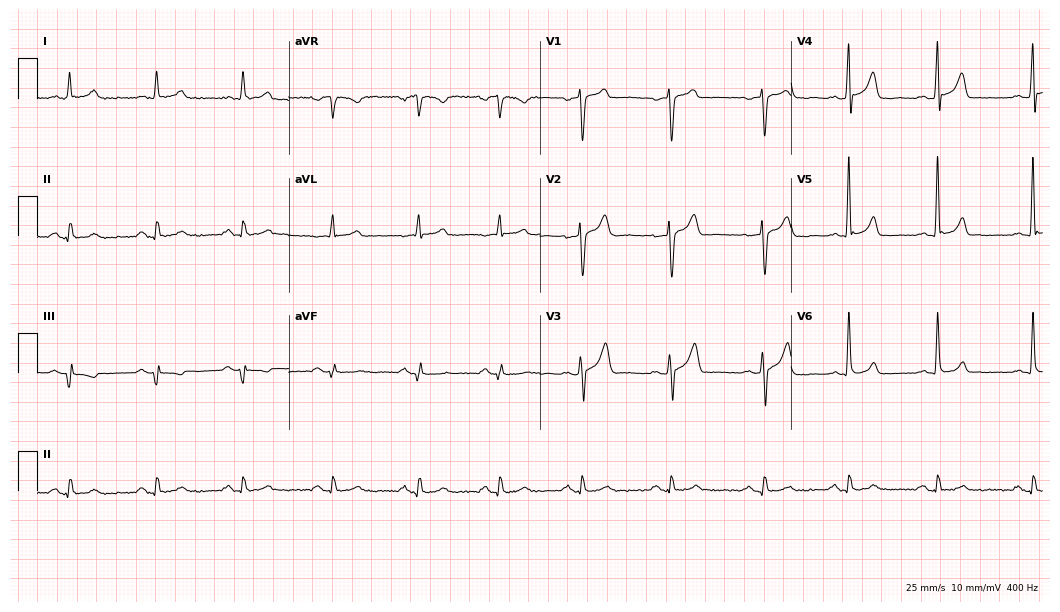
ECG (10.2-second recording at 400 Hz) — a male patient, 49 years old. Labelled as a normal ECG.